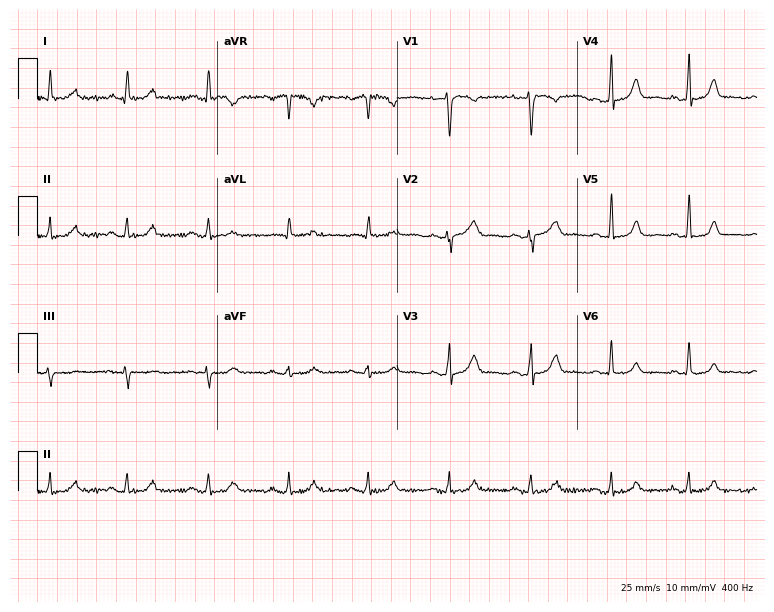
Electrocardiogram, a female patient, 32 years old. Overall reading on record: normal ECG.